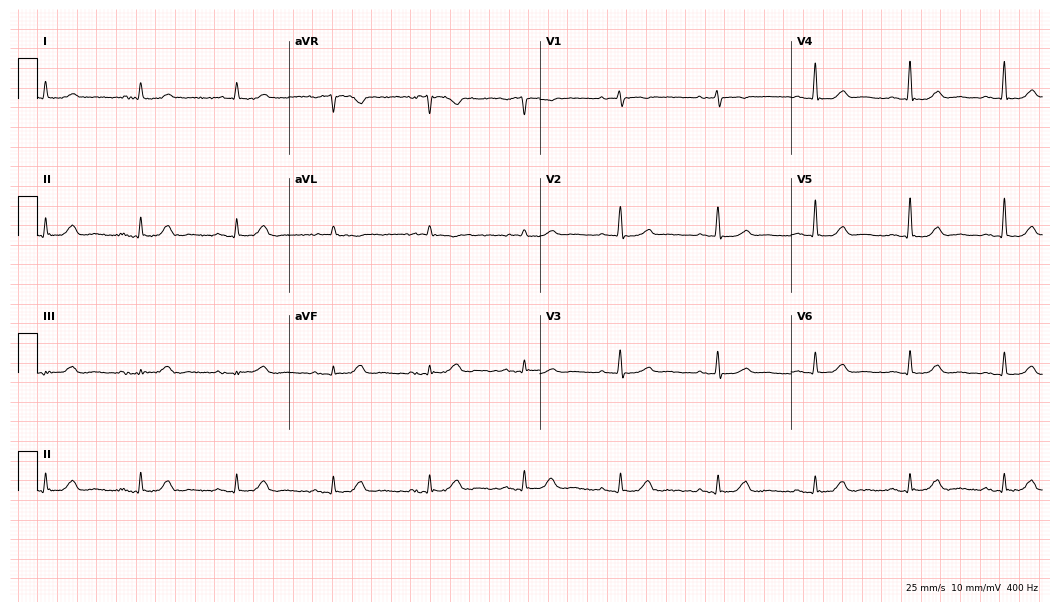
Resting 12-lead electrocardiogram (10.2-second recording at 400 Hz). Patient: a woman, 69 years old. Read as a normal ECG.